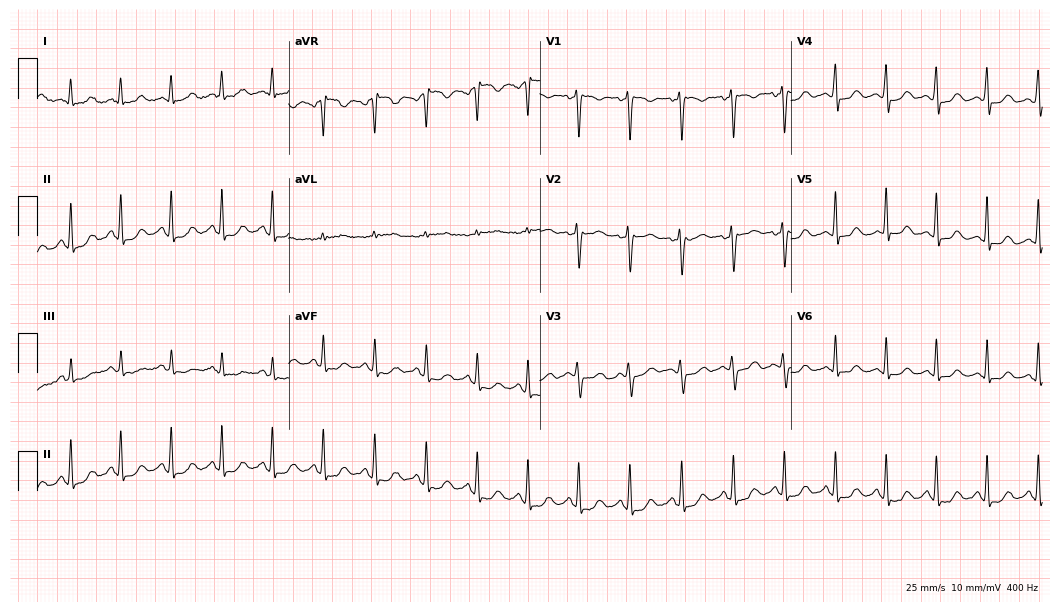
Standard 12-lead ECG recorded from a 32-year-old woman. The tracing shows sinus tachycardia (a sinus rate of 100 beats per minute or more).